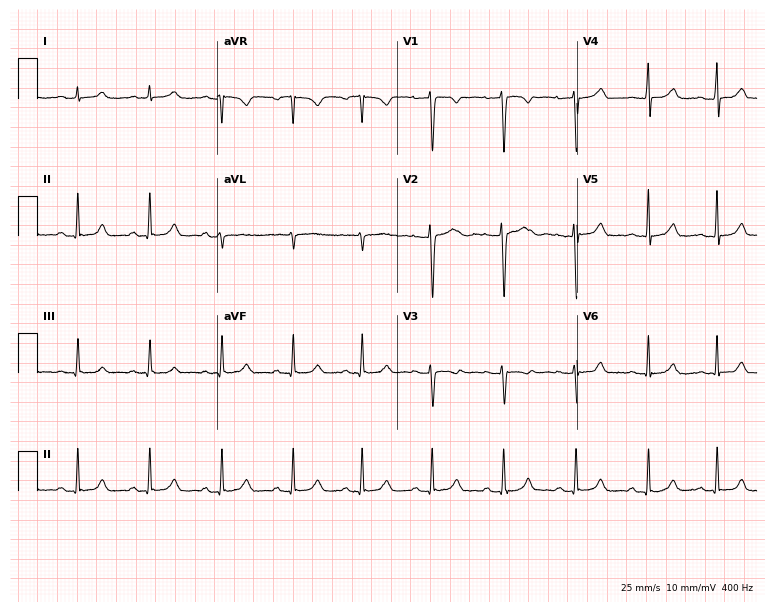
Standard 12-lead ECG recorded from a female, 18 years old (7.3-second recording at 400 Hz). Read as a normal ECG.